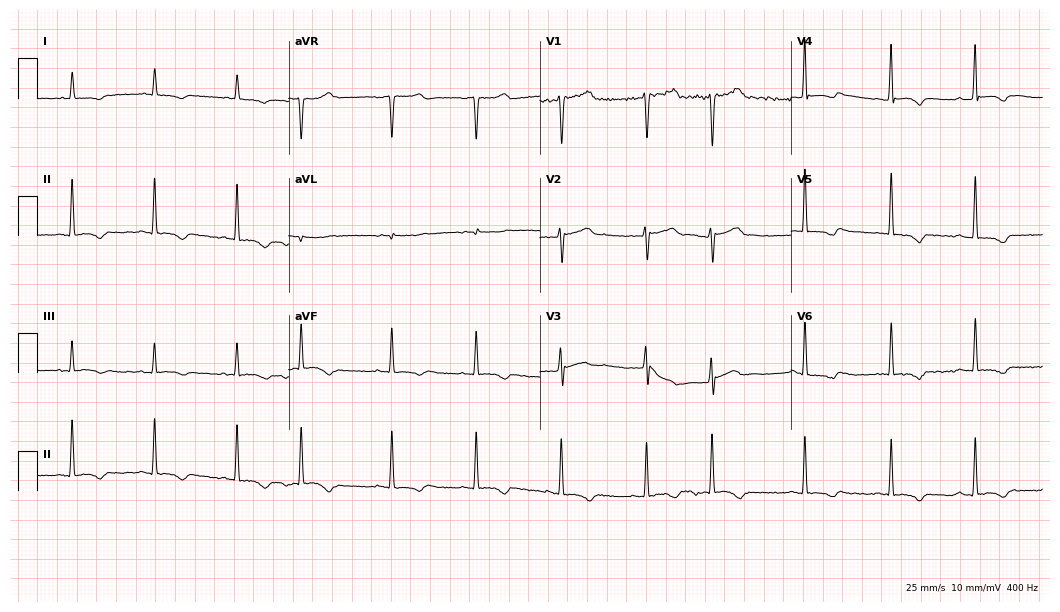
Standard 12-lead ECG recorded from a man, 80 years old. None of these six findings is recorded: first-degree AV block, right bundle branch block, left bundle branch block, sinus bradycardia, atrial fibrillation, sinus tachycardia.